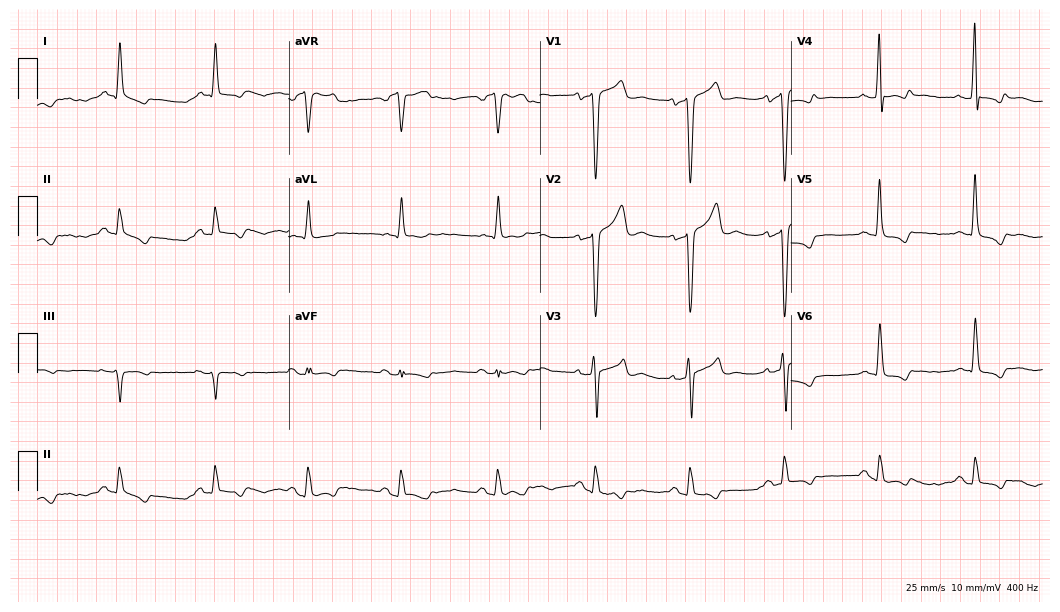
12-lead ECG from a man, 54 years old. Screened for six findings — first-degree AV block, right bundle branch block (RBBB), left bundle branch block (LBBB), sinus bradycardia, atrial fibrillation (AF), sinus tachycardia — none is recorded.